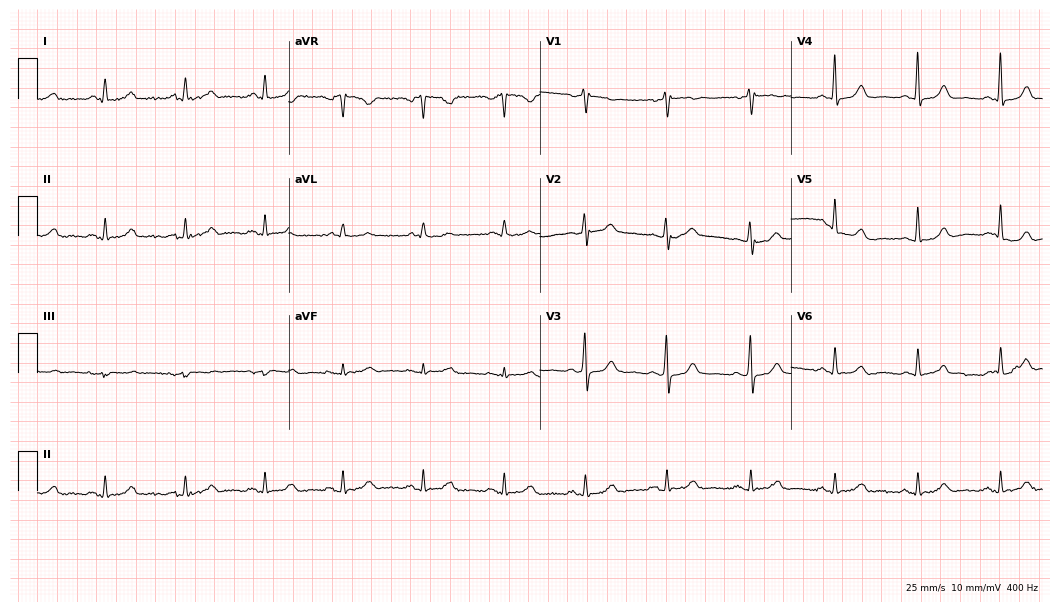
ECG — a 67-year-old female. Screened for six findings — first-degree AV block, right bundle branch block, left bundle branch block, sinus bradycardia, atrial fibrillation, sinus tachycardia — none is recorded. Only these six findings were labelled.